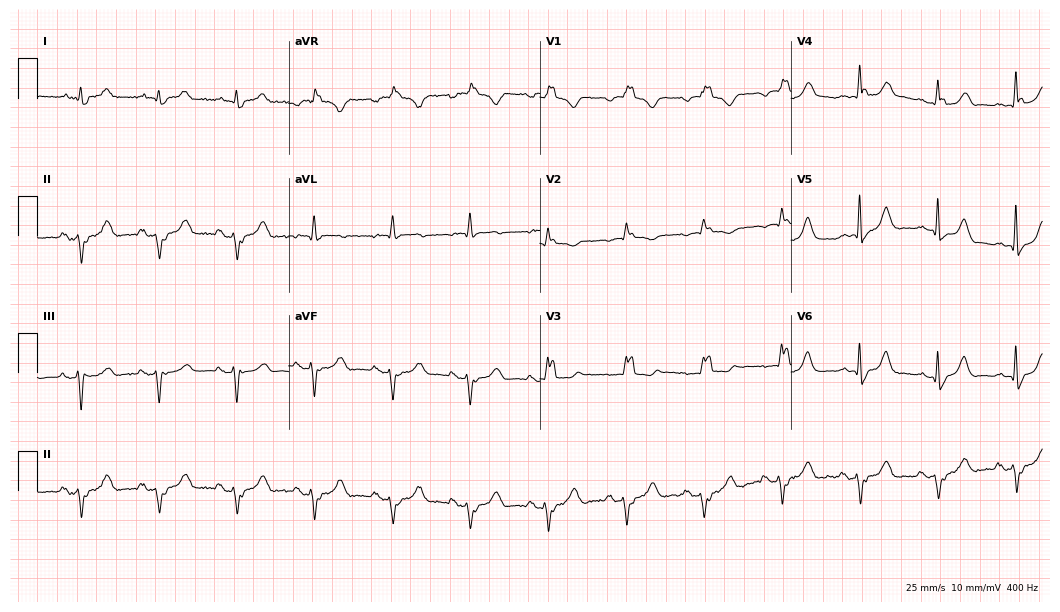
Resting 12-lead electrocardiogram (10.2-second recording at 400 Hz). Patient: a male, 82 years old. The tracing shows right bundle branch block.